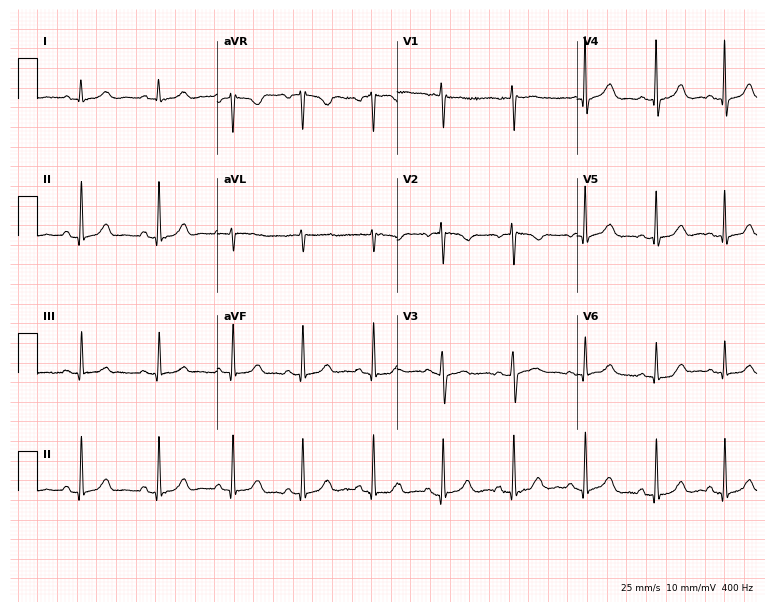
Electrocardiogram, a female patient, 54 years old. Of the six screened findings (first-degree AV block, right bundle branch block (RBBB), left bundle branch block (LBBB), sinus bradycardia, atrial fibrillation (AF), sinus tachycardia), none is recorded.